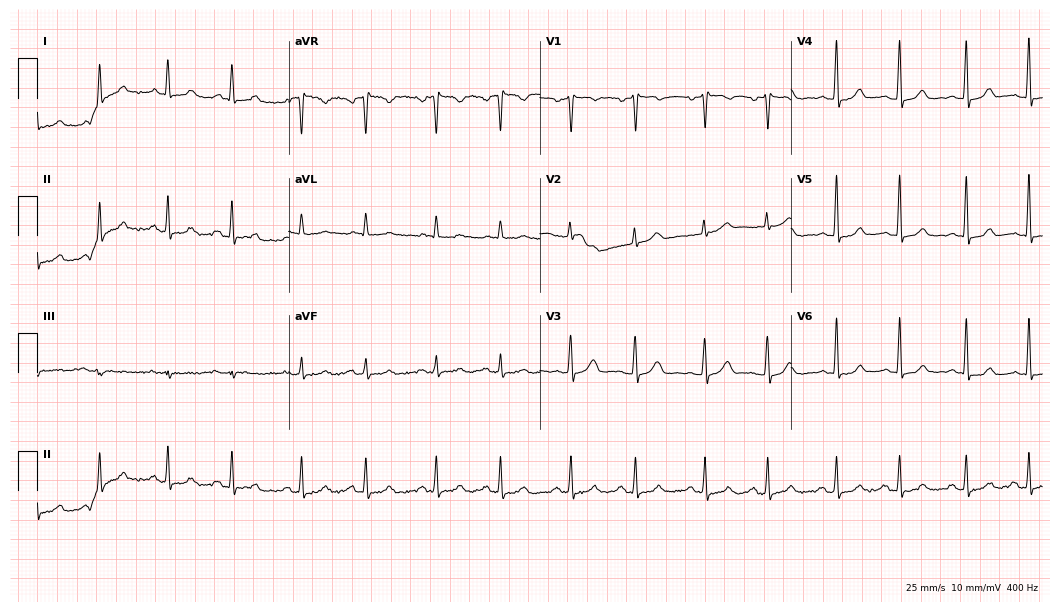
Standard 12-lead ECG recorded from a female patient, 45 years old. Read as a normal ECG.